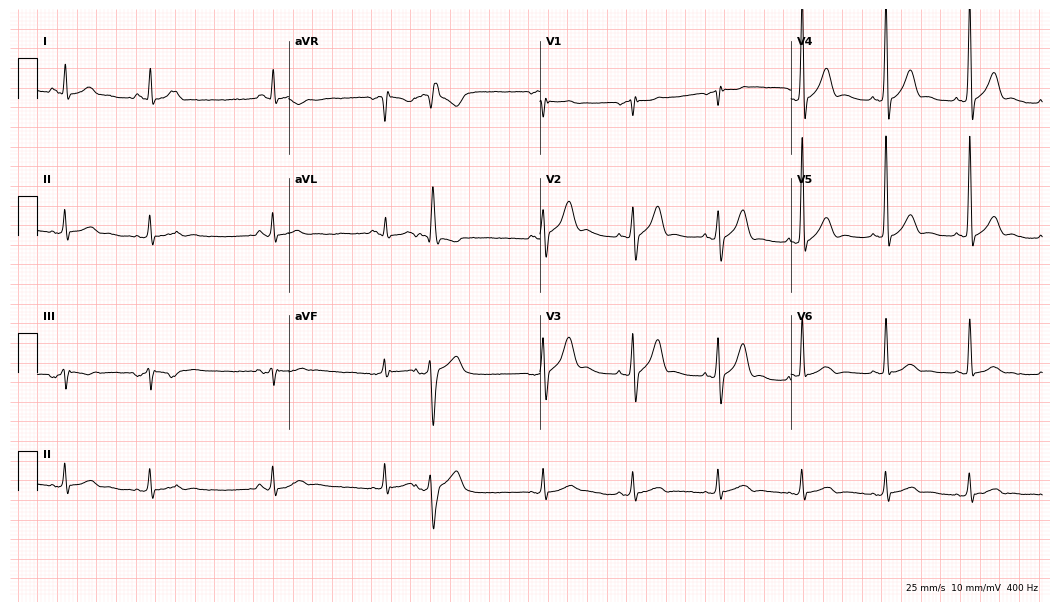
Standard 12-lead ECG recorded from a man, 74 years old. None of these six findings is recorded: first-degree AV block, right bundle branch block (RBBB), left bundle branch block (LBBB), sinus bradycardia, atrial fibrillation (AF), sinus tachycardia. Only these six findings were labelled.